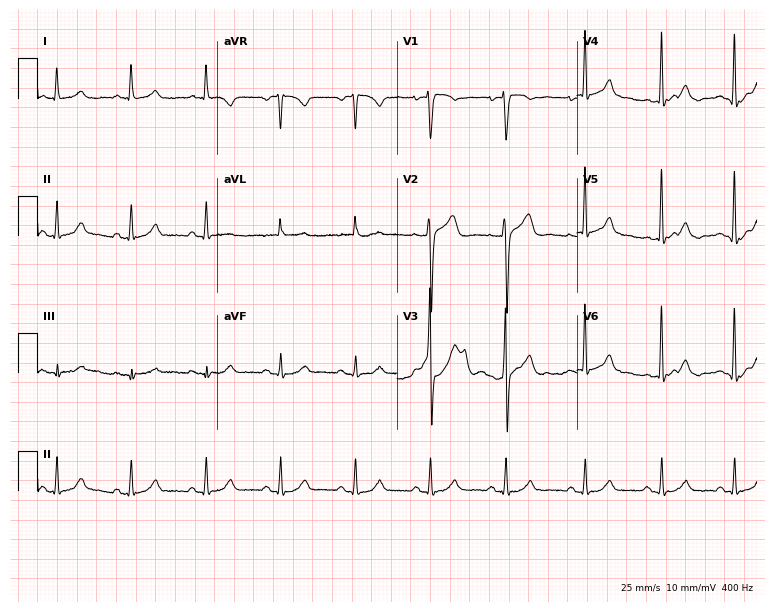
Standard 12-lead ECG recorded from a male patient, 53 years old (7.3-second recording at 400 Hz). None of these six findings is recorded: first-degree AV block, right bundle branch block (RBBB), left bundle branch block (LBBB), sinus bradycardia, atrial fibrillation (AF), sinus tachycardia.